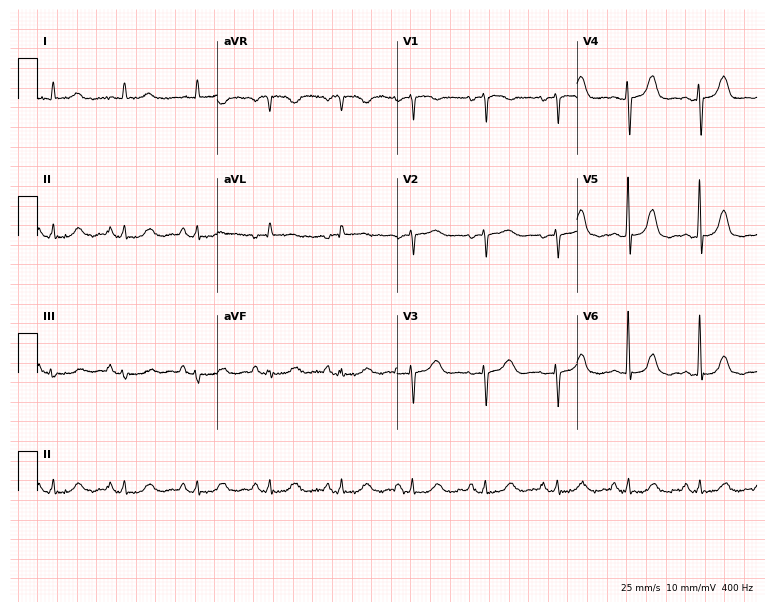
ECG — a female patient, 72 years old. Screened for six findings — first-degree AV block, right bundle branch block, left bundle branch block, sinus bradycardia, atrial fibrillation, sinus tachycardia — none is recorded.